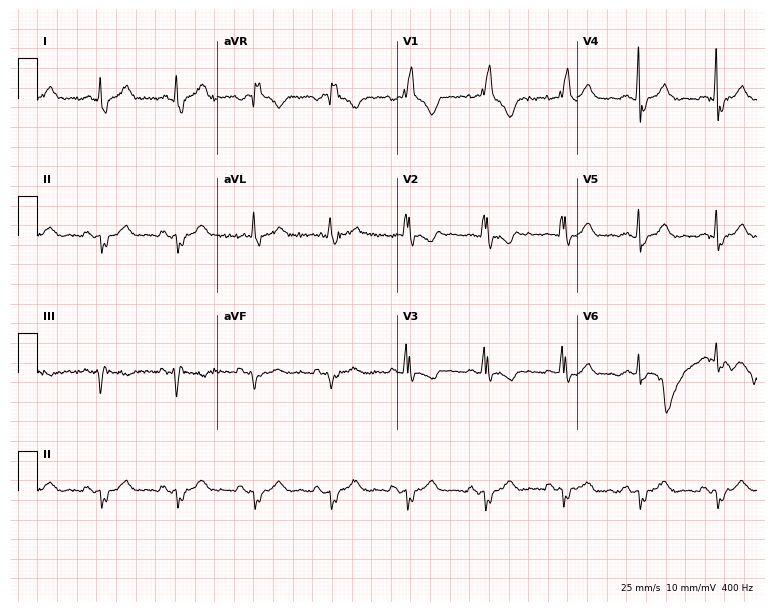
Electrocardiogram, a 41-year-old woman. Interpretation includes right bundle branch block (RBBB).